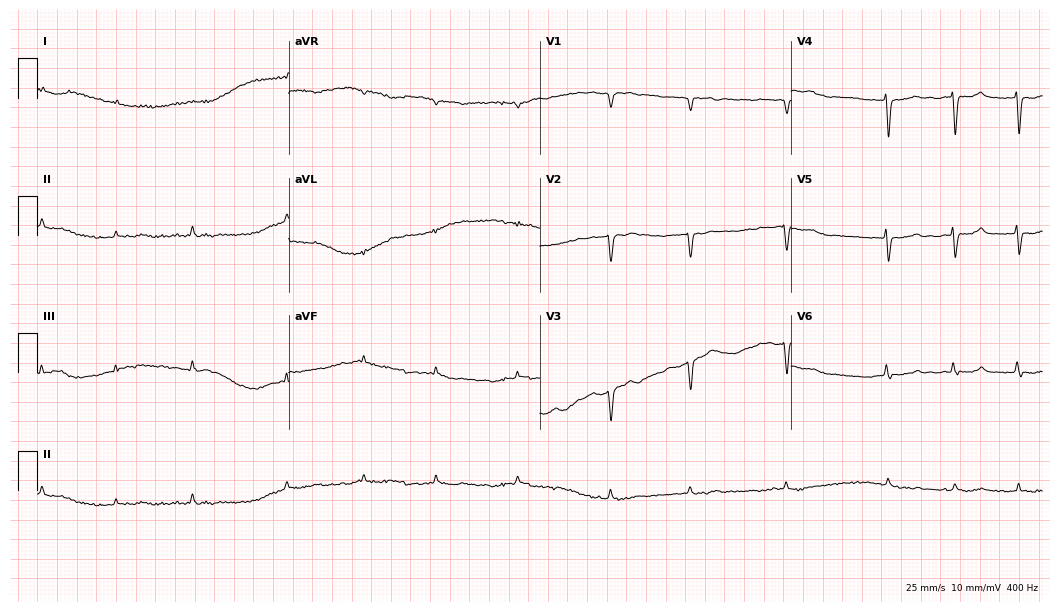
12-lead ECG from a woman, 73 years old. Screened for six findings — first-degree AV block, right bundle branch block (RBBB), left bundle branch block (LBBB), sinus bradycardia, atrial fibrillation (AF), sinus tachycardia — none is recorded.